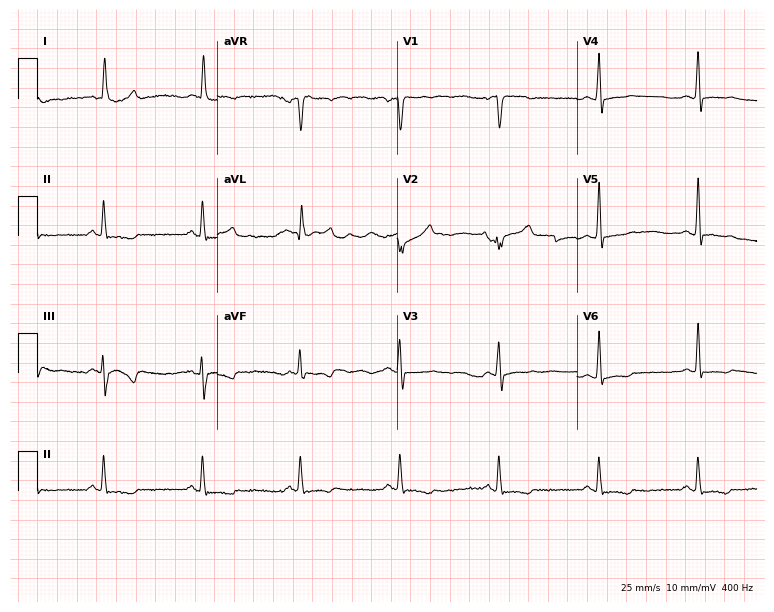
ECG — a female, 61 years old. Screened for six findings — first-degree AV block, right bundle branch block (RBBB), left bundle branch block (LBBB), sinus bradycardia, atrial fibrillation (AF), sinus tachycardia — none is recorded.